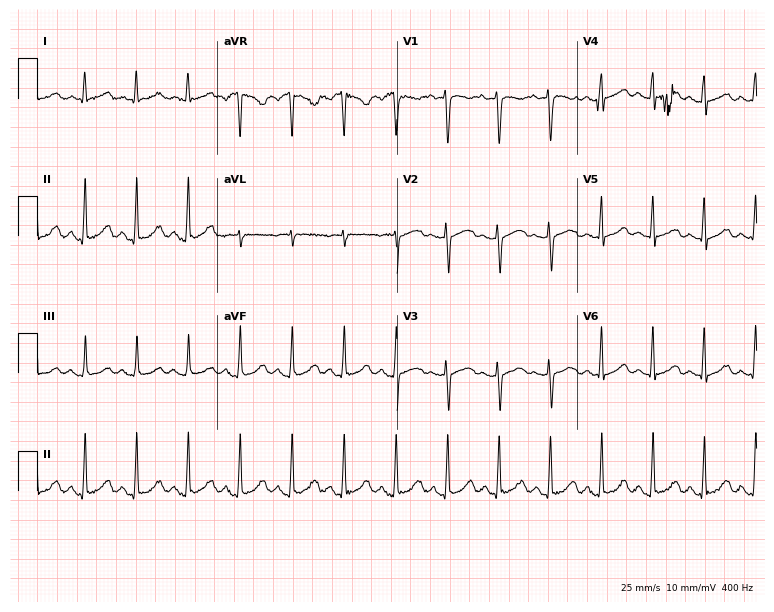
ECG (7.3-second recording at 400 Hz) — a female patient, 40 years old. Findings include sinus tachycardia (a sinus rate of 100 beats per minute or more).